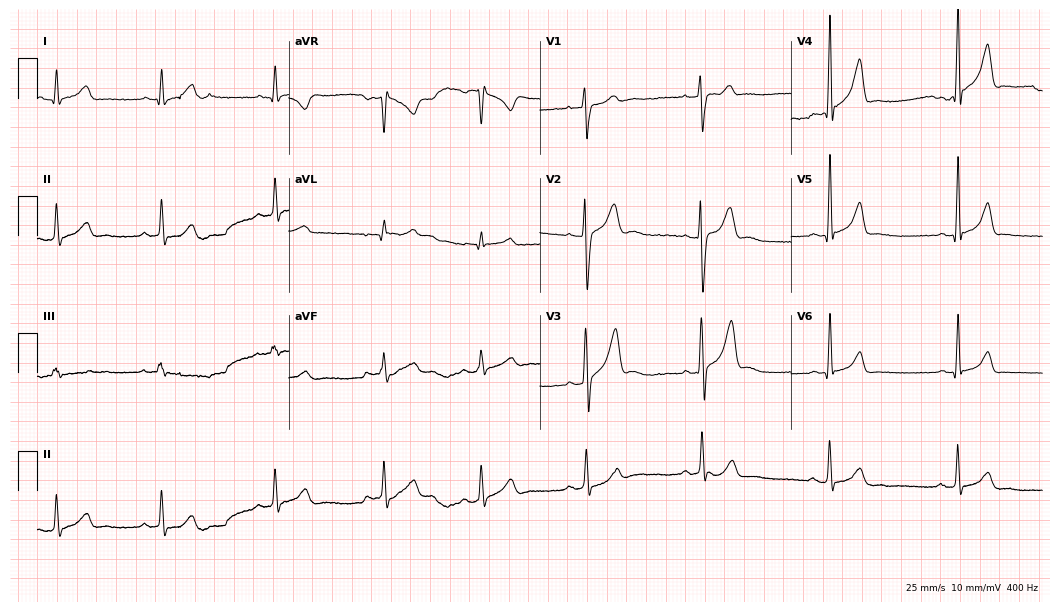
Standard 12-lead ECG recorded from a 31-year-old male patient (10.2-second recording at 400 Hz). None of these six findings is recorded: first-degree AV block, right bundle branch block, left bundle branch block, sinus bradycardia, atrial fibrillation, sinus tachycardia. Findings outside these six are not listed.